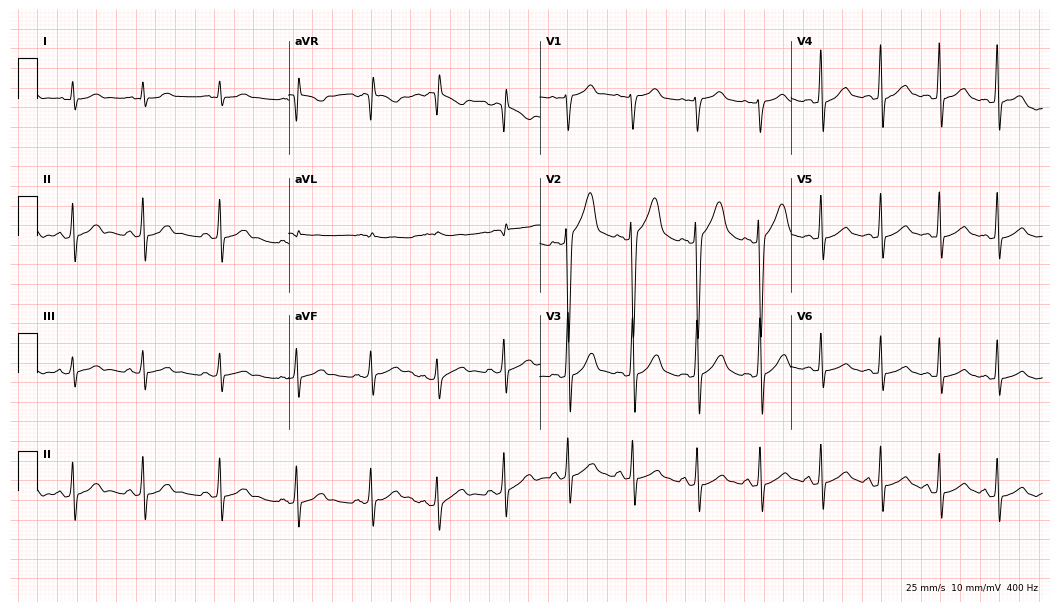
Standard 12-lead ECG recorded from a 35-year-old man. Read as a normal ECG.